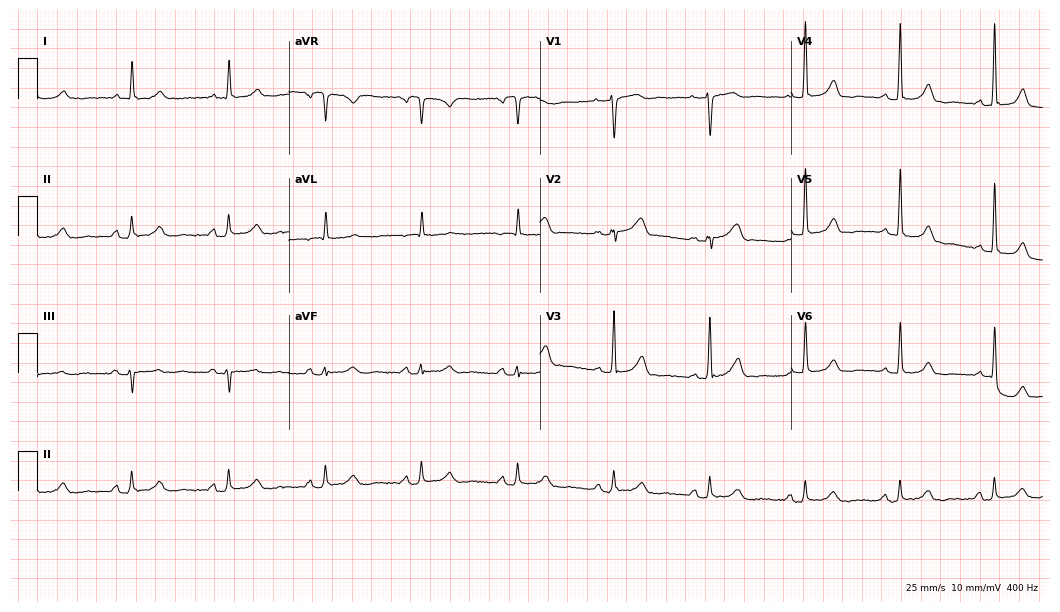
ECG (10.2-second recording at 400 Hz) — a 72-year-old female patient. Labelled as a normal ECG.